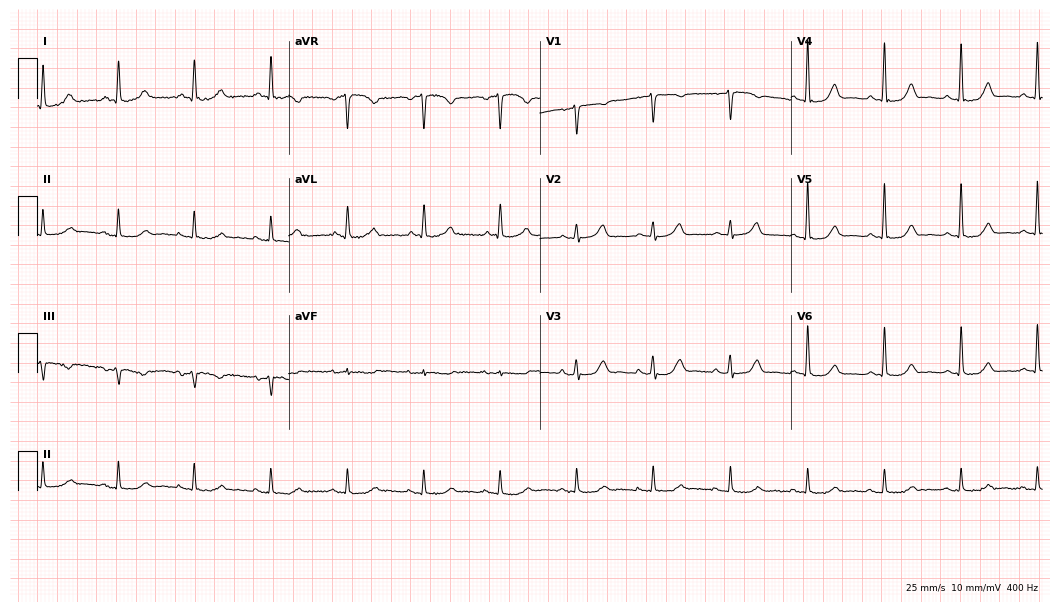
12-lead ECG from a female, 76 years old (10.2-second recording at 400 Hz). Recorded interpretation: within normal limits.